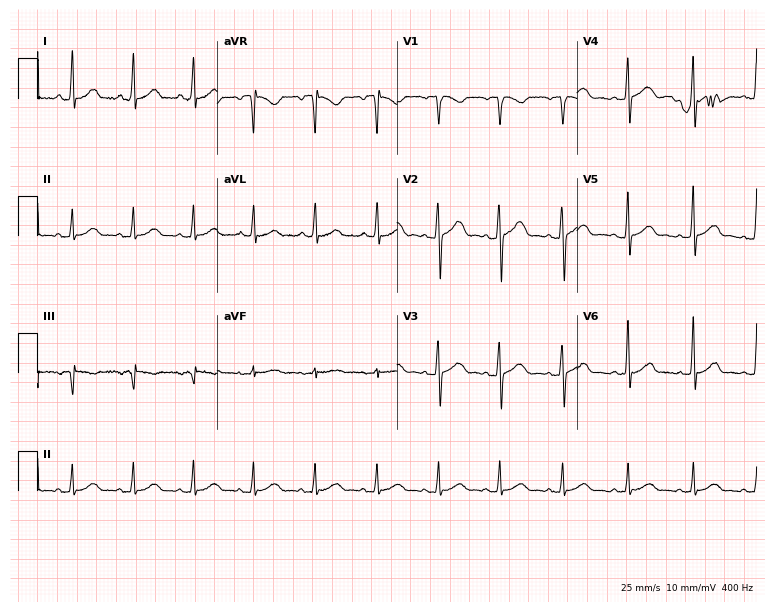
Standard 12-lead ECG recorded from a female, 25 years old (7.3-second recording at 400 Hz). Read as a normal ECG.